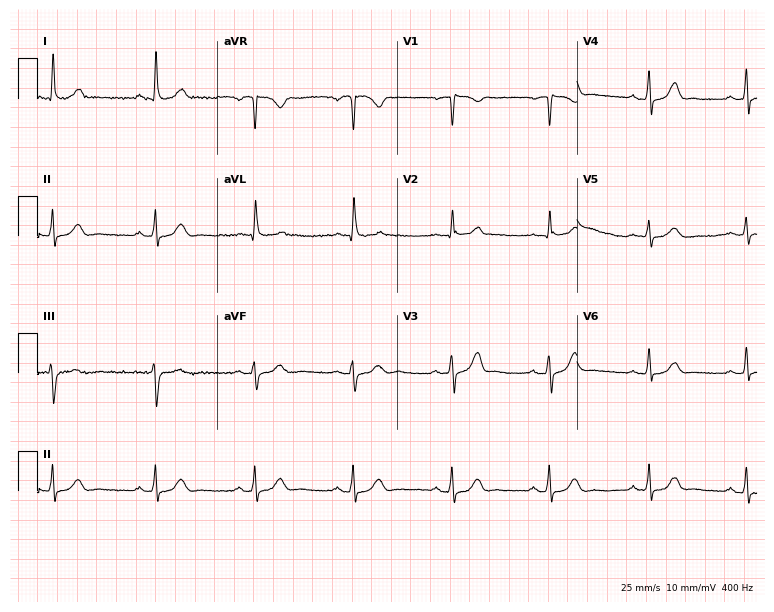
12-lead ECG from a 64-year-old man. Recorded interpretation: within normal limits.